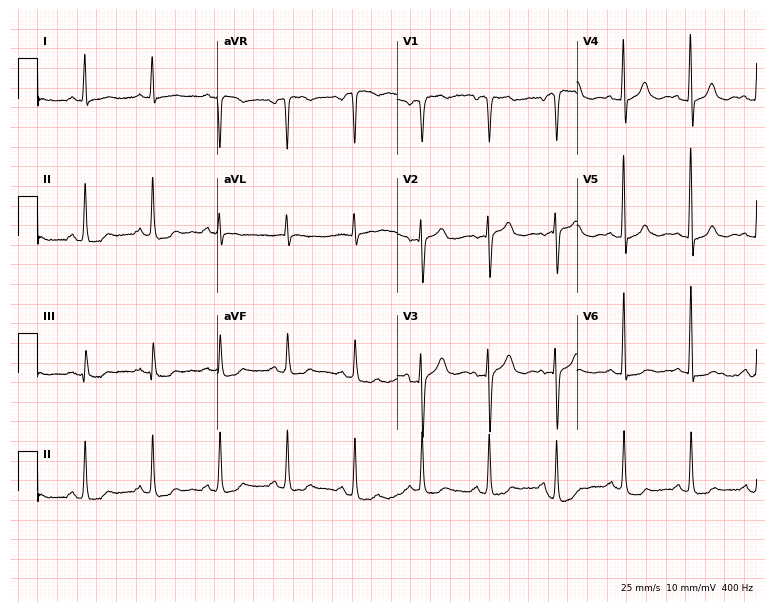
Standard 12-lead ECG recorded from a 69-year-old female patient. None of these six findings is recorded: first-degree AV block, right bundle branch block, left bundle branch block, sinus bradycardia, atrial fibrillation, sinus tachycardia. Findings outside these six are not listed.